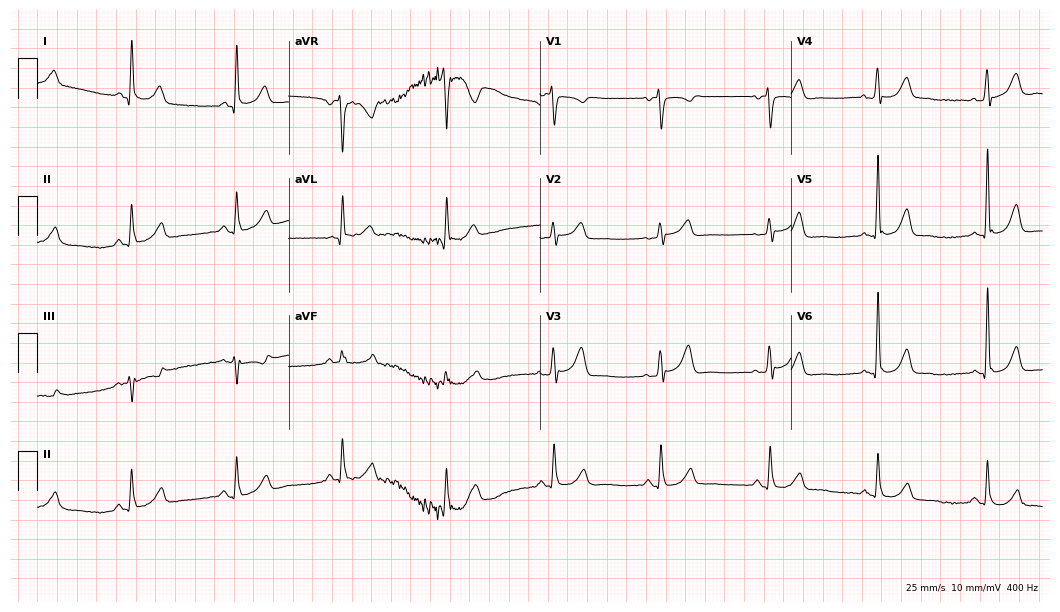
Electrocardiogram (10.2-second recording at 400 Hz), a female, 66 years old. Of the six screened findings (first-degree AV block, right bundle branch block, left bundle branch block, sinus bradycardia, atrial fibrillation, sinus tachycardia), none is recorded.